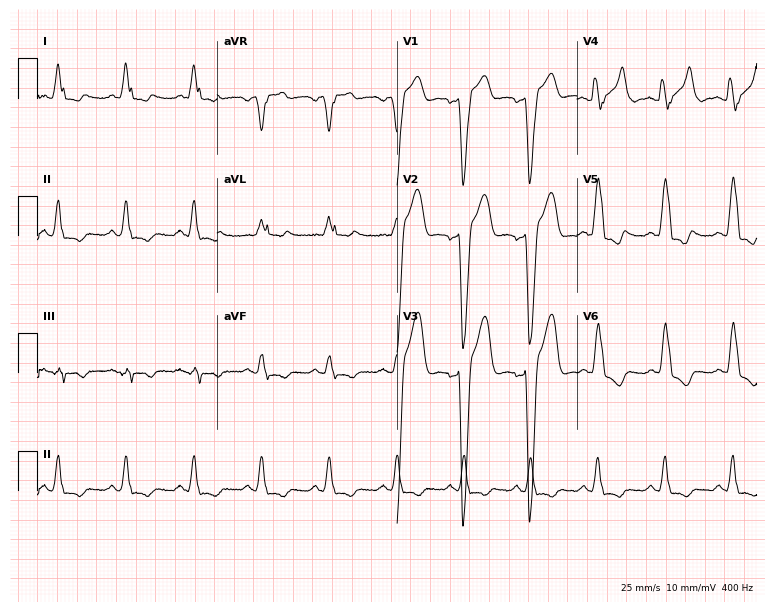
Standard 12-lead ECG recorded from a 53-year-old man (7.3-second recording at 400 Hz). The tracing shows left bundle branch block.